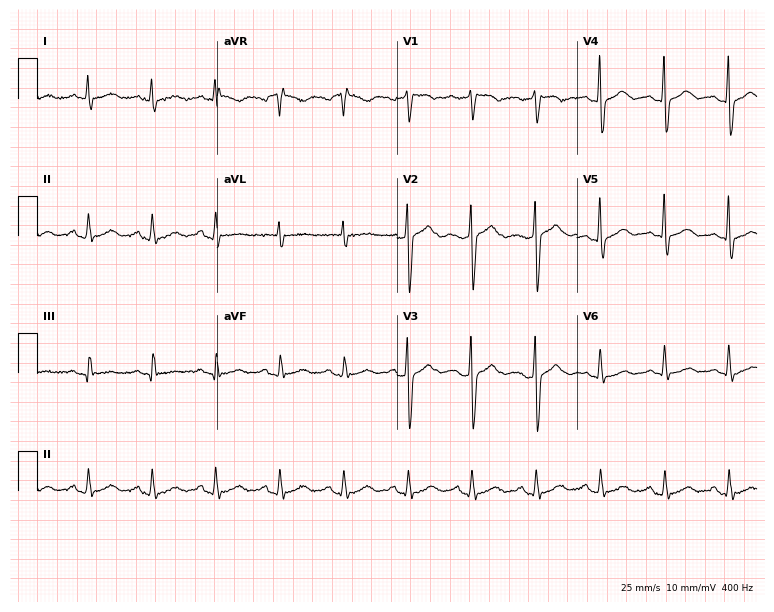
Resting 12-lead electrocardiogram (7.3-second recording at 400 Hz). Patient: a female, 52 years old. None of these six findings is recorded: first-degree AV block, right bundle branch block (RBBB), left bundle branch block (LBBB), sinus bradycardia, atrial fibrillation (AF), sinus tachycardia.